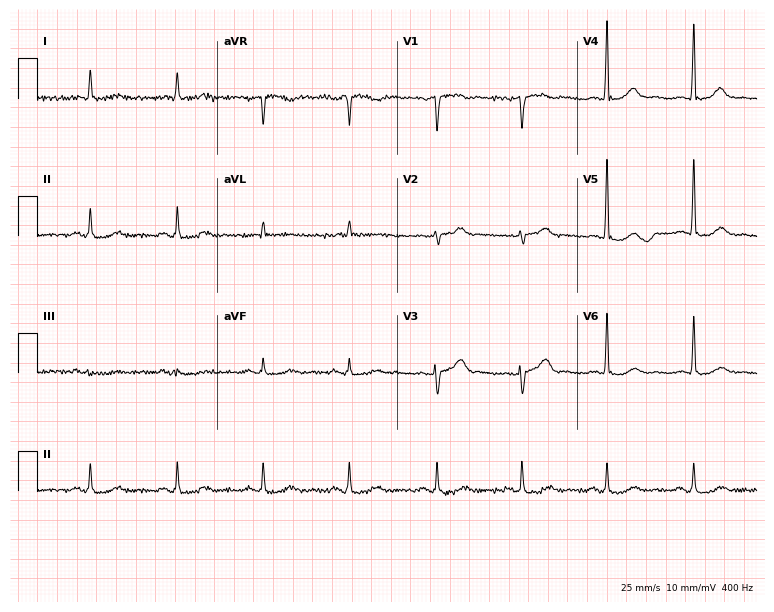
Standard 12-lead ECG recorded from a 78-year-old male. None of these six findings is recorded: first-degree AV block, right bundle branch block (RBBB), left bundle branch block (LBBB), sinus bradycardia, atrial fibrillation (AF), sinus tachycardia.